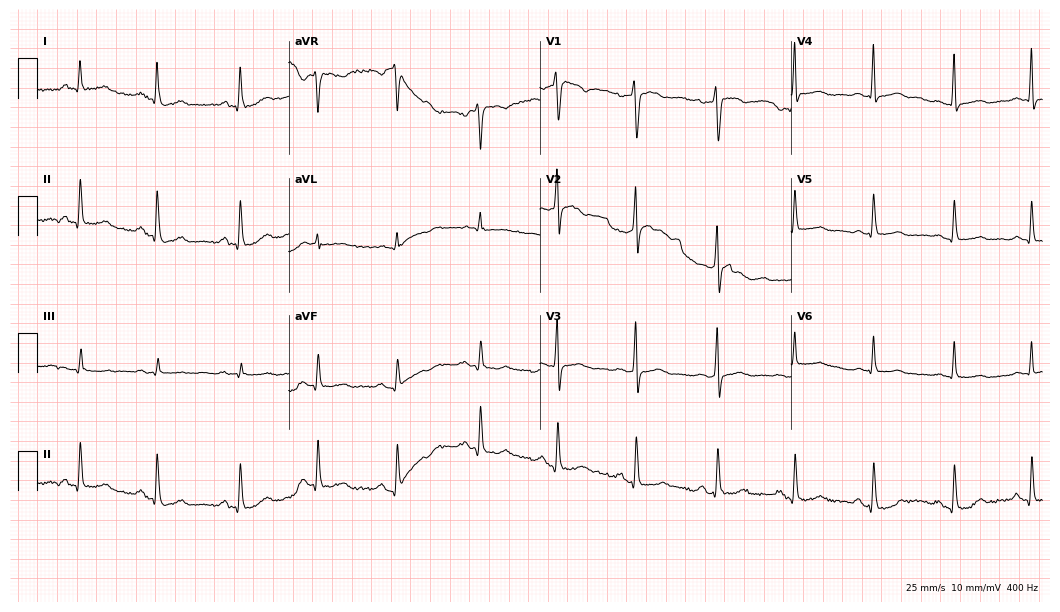
ECG (10.2-second recording at 400 Hz) — a female, 48 years old. Screened for six findings — first-degree AV block, right bundle branch block (RBBB), left bundle branch block (LBBB), sinus bradycardia, atrial fibrillation (AF), sinus tachycardia — none is recorded. Findings outside these six are not listed.